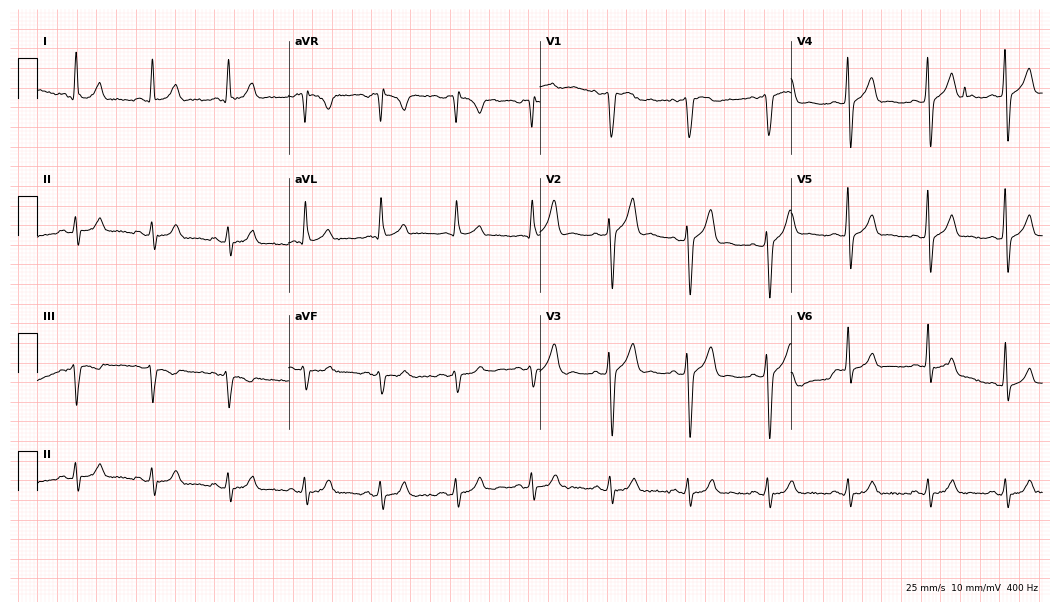
12-lead ECG from a 45-year-old man. Screened for six findings — first-degree AV block, right bundle branch block, left bundle branch block, sinus bradycardia, atrial fibrillation, sinus tachycardia — none is recorded.